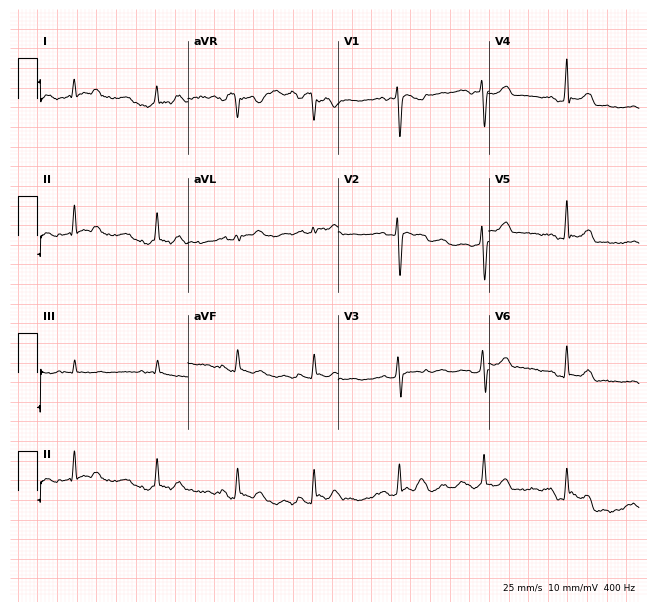
Standard 12-lead ECG recorded from a woman, 24 years old. None of these six findings is recorded: first-degree AV block, right bundle branch block (RBBB), left bundle branch block (LBBB), sinus bradycardia, atrial fibrillation (AF), sinus tachycardia.